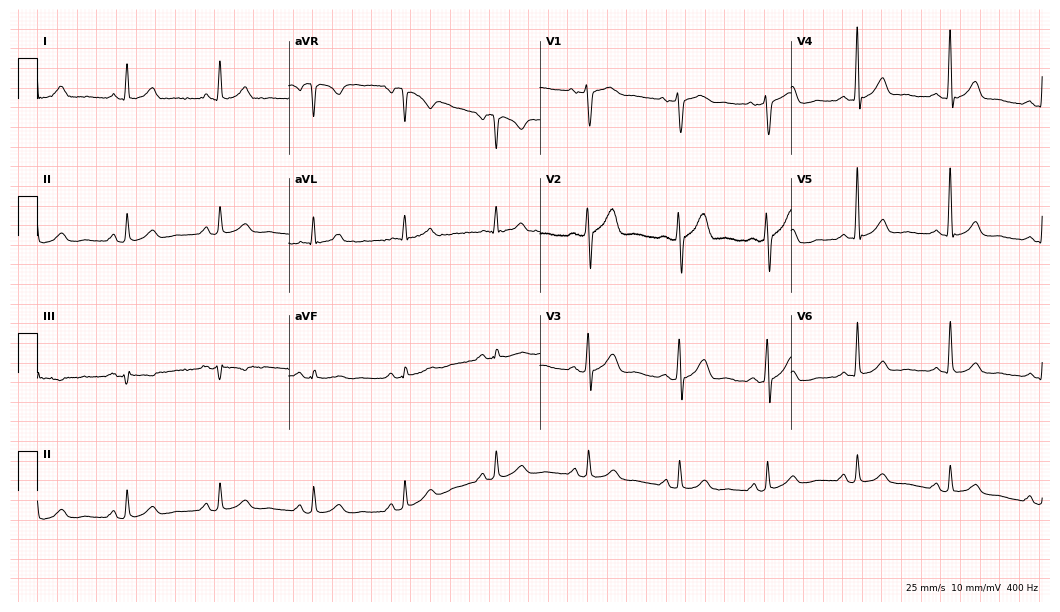
ECG — a male patient, 52 years old. Labelled as a normal ECG.